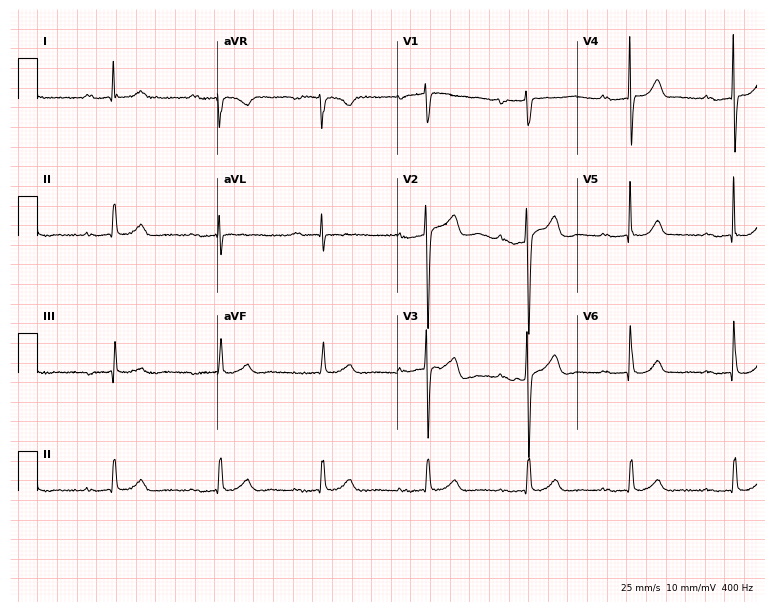
Resting 12-lead electrocardiogram. Patient: a 71-year-old female. None of these six findings is recorded: first-degree AV block, right bundle branch block, left bundle branch block, sinus bradycardia, atrial fibrillation, sinus tachycardia.